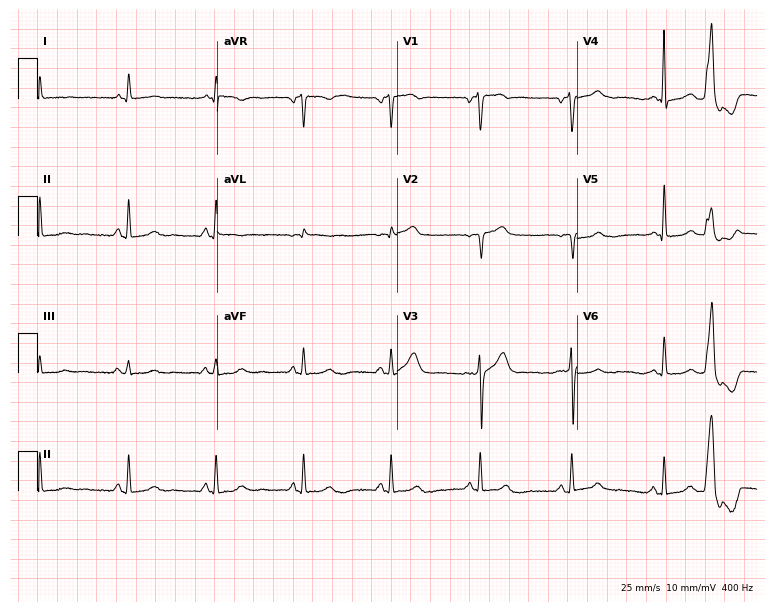
Resting 12-lead electrocardiogram. Patient: a 58-year-old man. None of these six findings is recorded: first-degree AV block, right bundle branch block (RBBB), left bundle branch block (LBBB), sinus bradycardia, atrial fibrillation (AF), sinus tachycardia. Only these six findings were labelled.